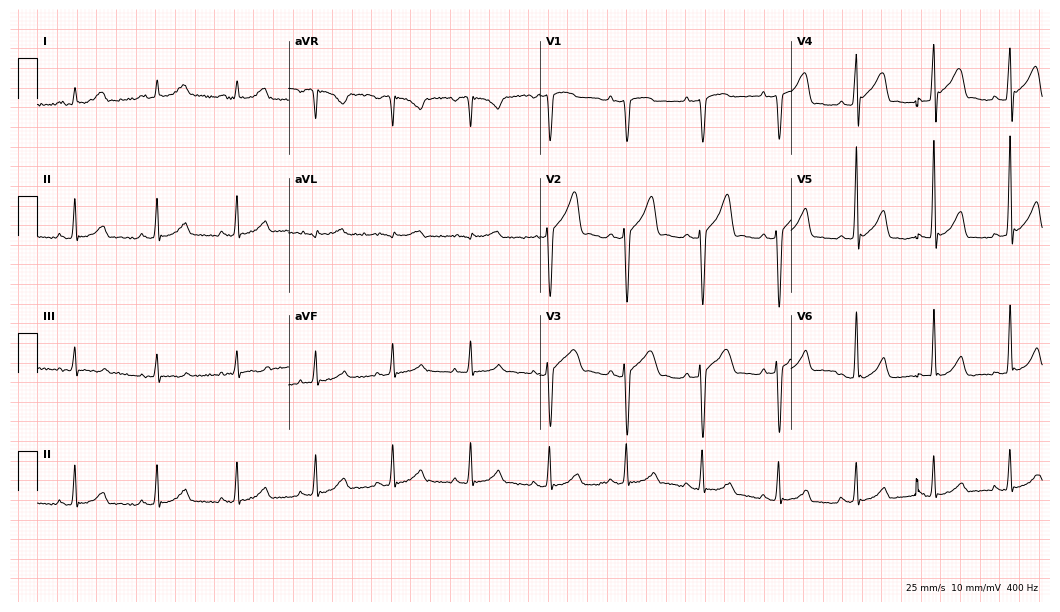
12-lead ECG from a male, 31 years old. No first-degree AV block, right bundle branch block (RBBB), left bundle branch block (LBBB), sinus bradycardia, atrial fibrillation (AF) or sinus tachycardia recorded for this tracing.